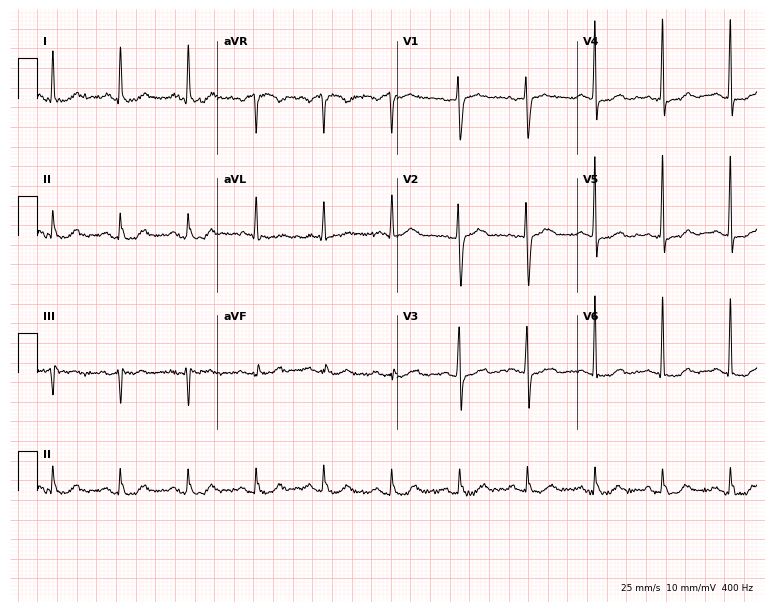
12-lead ECG from a man, 64 years old. Labelled as a normal ECG.